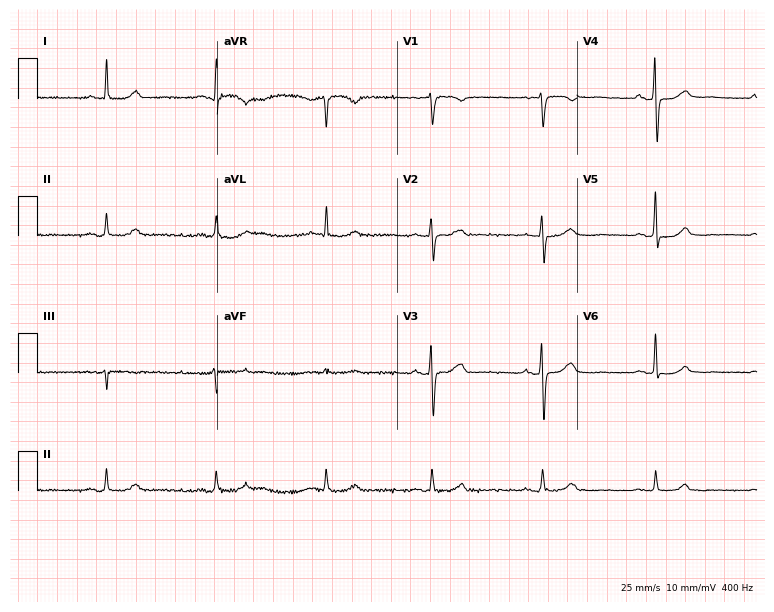
ECG (7.3-second recording at 400 Hz) — a 68-year-old woman. Screened for six findings — first-degree AV block, right bundle branch block, left bundle branch block, sinus bradycardia, atrial fibrillation, sinus tachycardia — none is recorded.